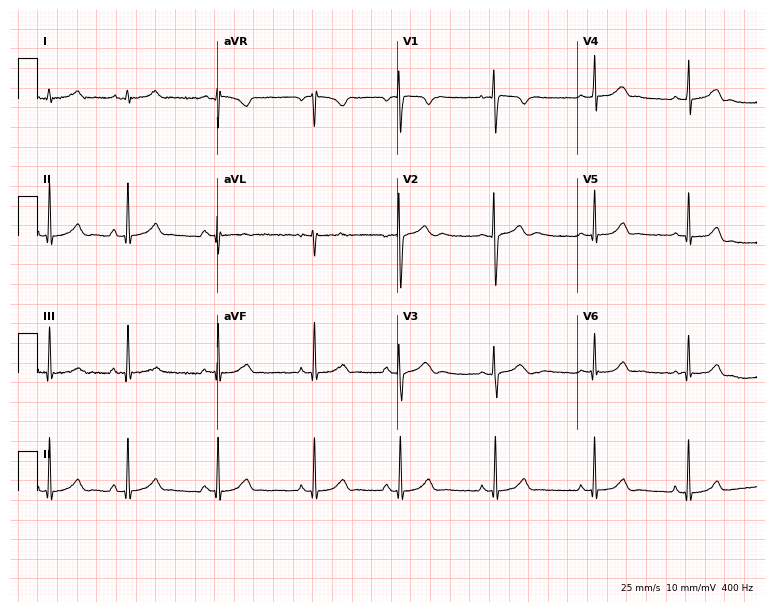
12-lead ECG from a female, 18 years old (7.3-second recording at 400 Hz). Recorded interpretation: within normal limits.